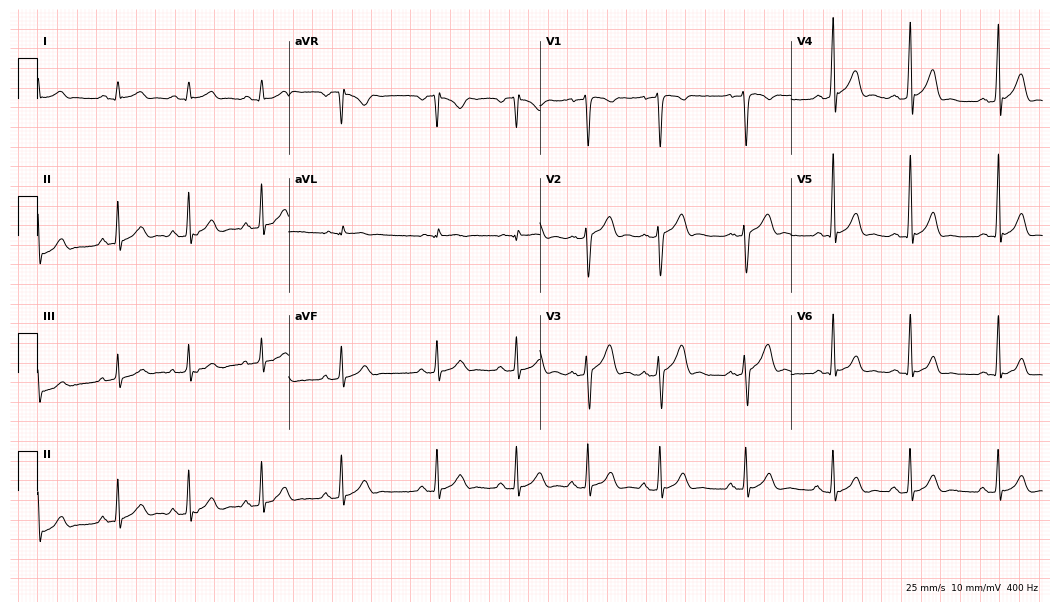
Electrocardiogram, a 20-year-old man. Overall reading on record: normal ECG.